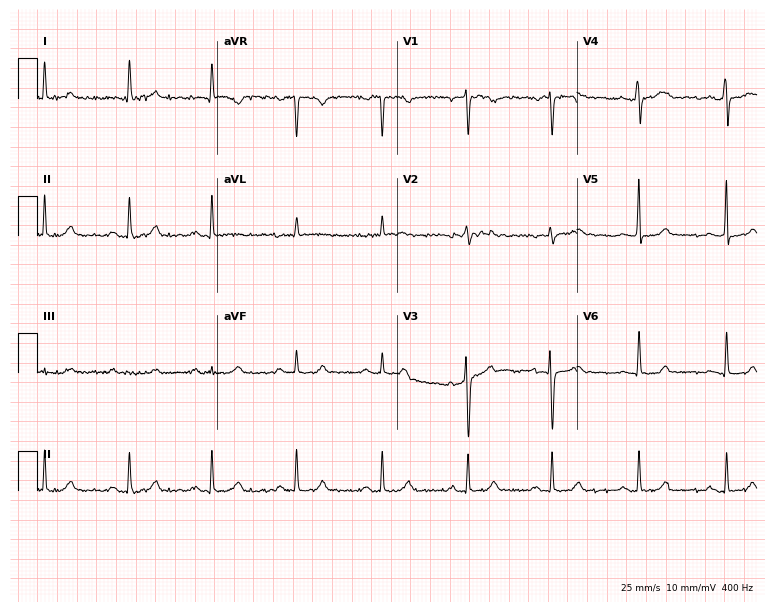
Resting 12-lead electrocardiogram. Patient: a female, 47 years old. Read as a normal ECG.